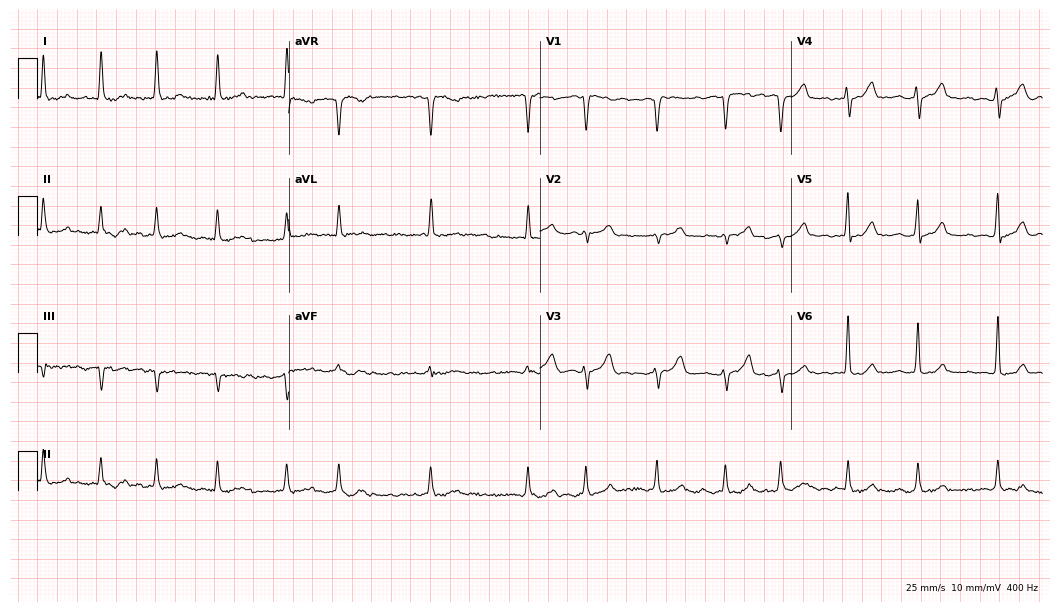
Resting 12-lead electrocardiogram (10.2-second recording at 400 Hz). Patient: an 83-year-old female. The tracing shows atrial fibrillation (AF).